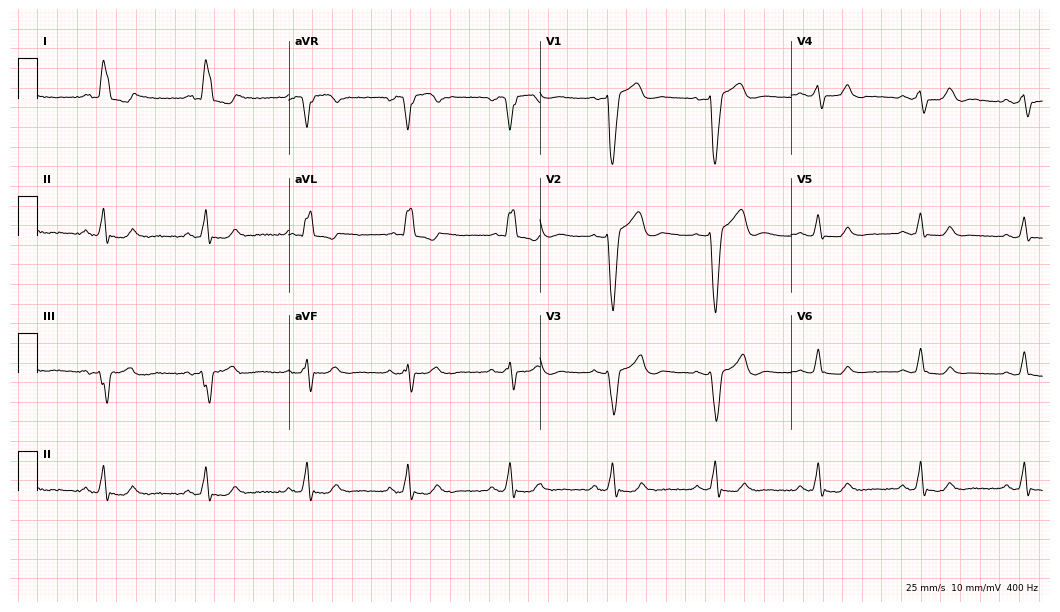
Standard 12-lead ECG recorded from a 68-year-old female (10.2-second recording at 400 Hz). None of these six findings is recorded: first-degree AV block, right bundle branch block, left bundle branch block, sinus bradycardia, atrial fibrillation, sinus tachycardia. Other findings, if any, are not listed.